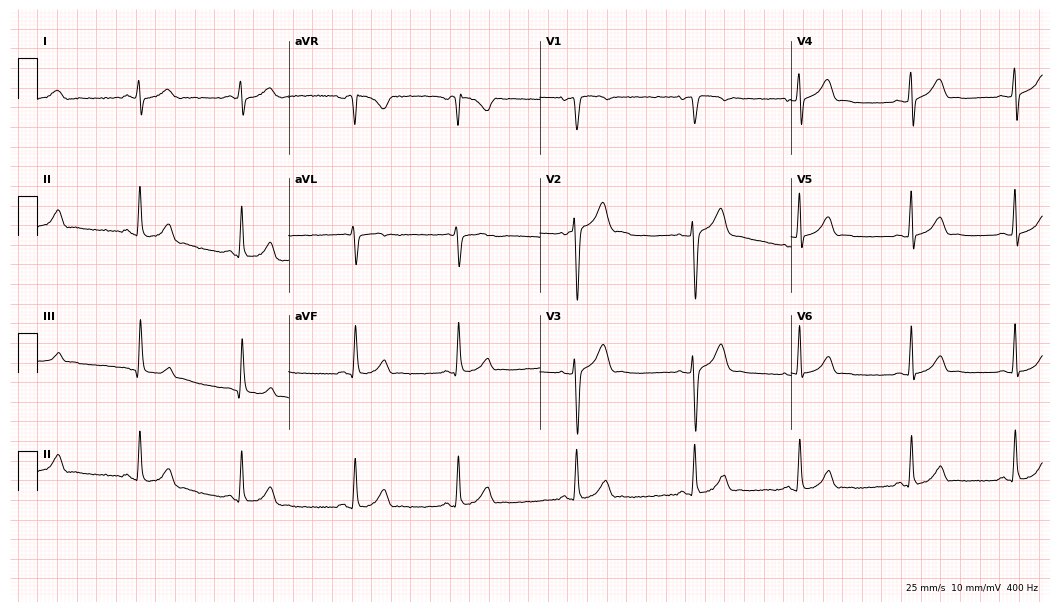
Resting 12-lead electrocardiogram. Patient: a 25-year-old man. None of these six findings is recorded: first-degree AV block, right bundle branch block (RBBB), left bundle branch block (LBBB), sinus bradycardia, atrial fibrillation (AF), sinus tachycardia.